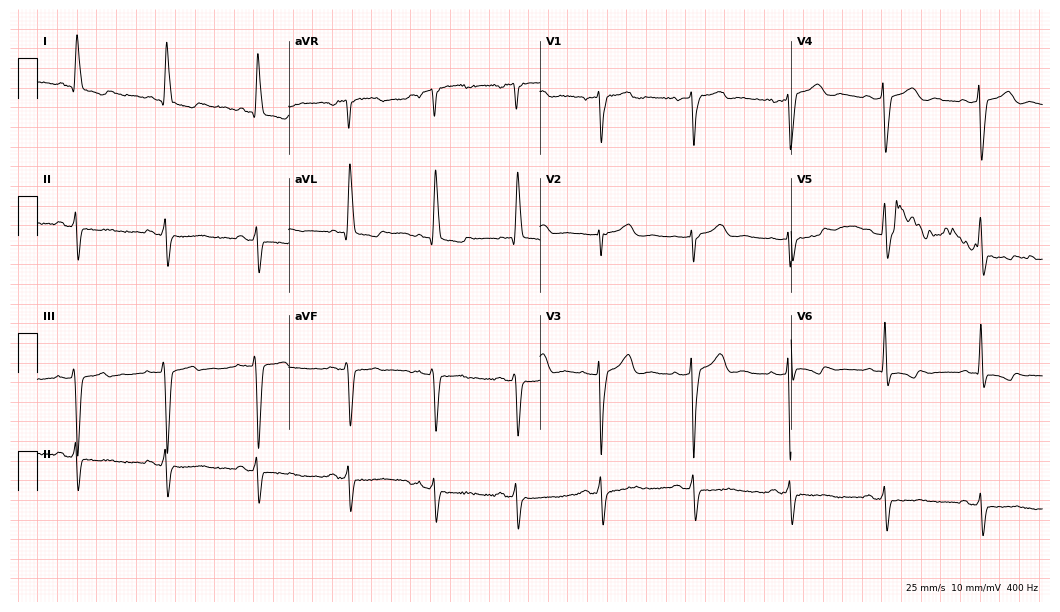
ECG — a 73-year-old female. Screened for six findings — first-degree AV block, right bundle branch block (RBBB), left bundle branch block (LBBB), sinus bradycardia, atrial fibrillation (AF), sinus tachycardia — none is recorded. Only these six findings were labelled.